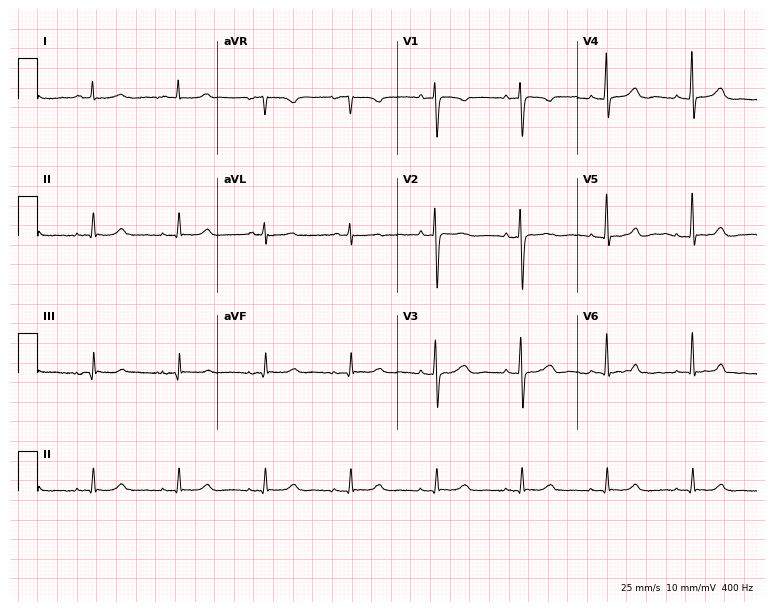
12-lead ECG from a female patient, 76 years old (7.3-second recording at 400 Hz). No first-degree AV block, right bundle branch block (RBBB), left bundle branch block (LBBB), sinus bradycardia, atrial fibrillation (AF) or sinus tachycardia recorded for this tracing.